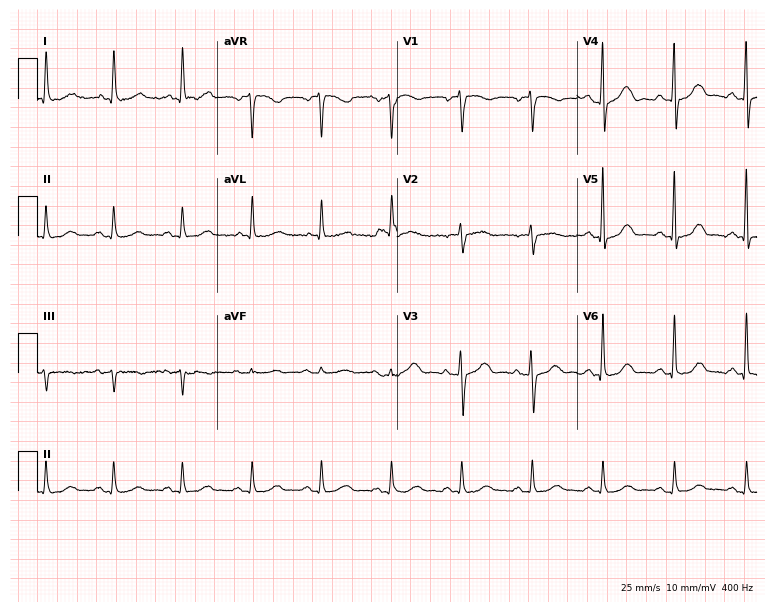
12-lead ECG (7.3-second recording at 400 Hz) from a woman, 60 years old. Labelled as a normal ECG.